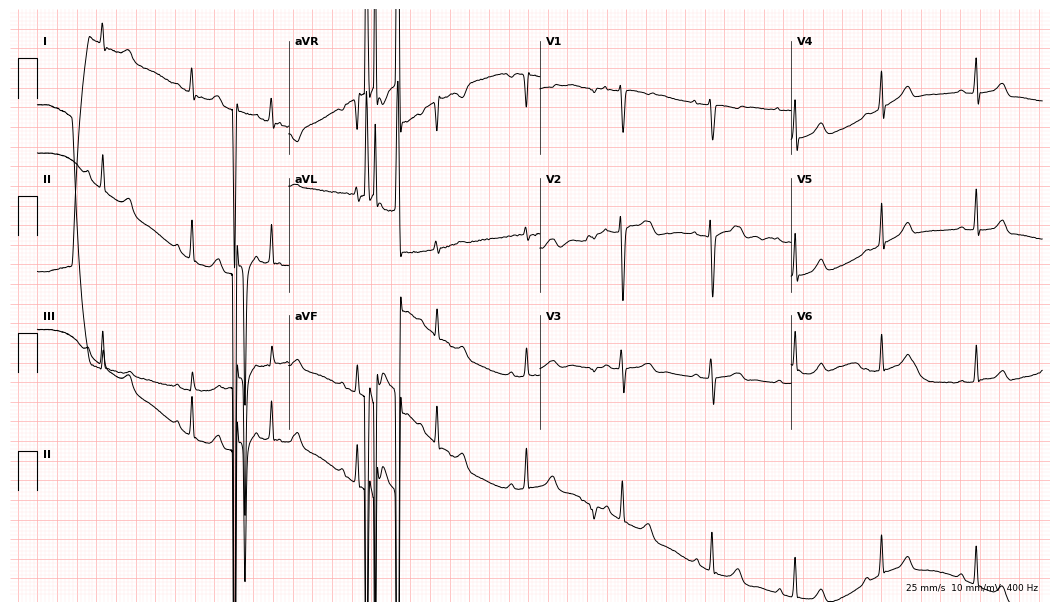
ECG — a 17-year-old female. Screened for six findings — first-degree AV block, right bundle branch block (RBBB), left bundle branch block (LBBB), sinus bradycardia, atrial fibrillation (AF), sinus tachycardia — none is recorded.